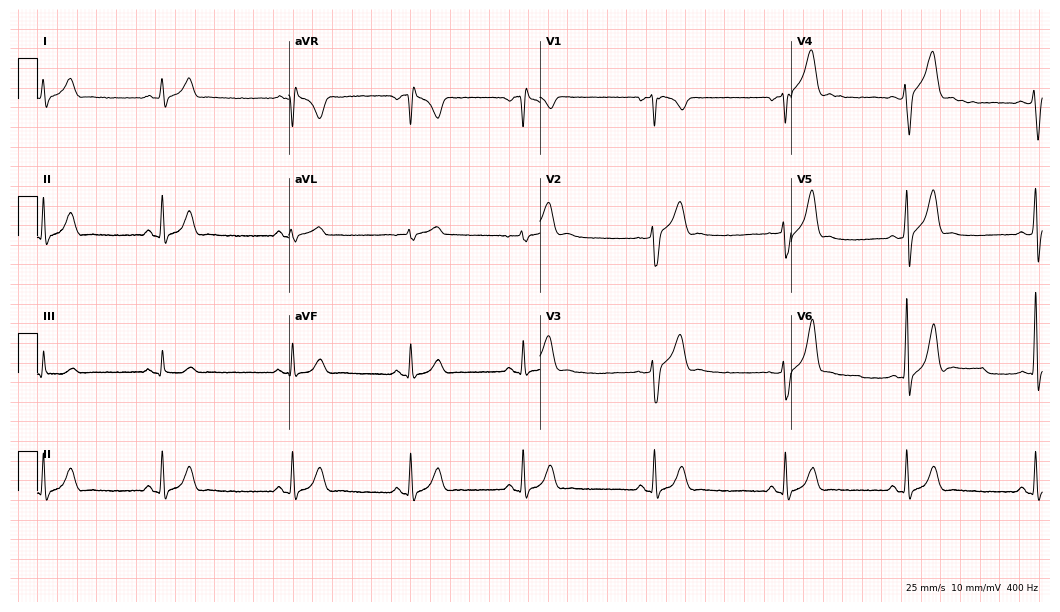
Resting 12-lead electrocardiogram (10.2-second recording at 400 Hz). Patient: a 36-year-old man. The tracing shows sinus bradycardia (a sinus rate of 50 beats per minute or less).